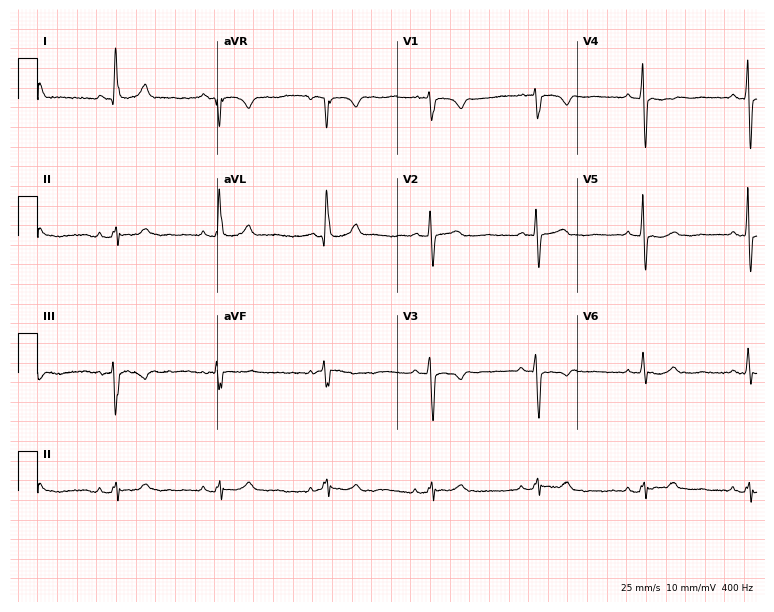
Standard 12-lead ECG recorded from a 66-year-old woman. None of these six findings is recorded: first-degree AV block, right bundle branch block (RBBB), left bundle branch block (LBBB), sinus bradycardia, atrial fibrillation (AF), sinus tachycardia.